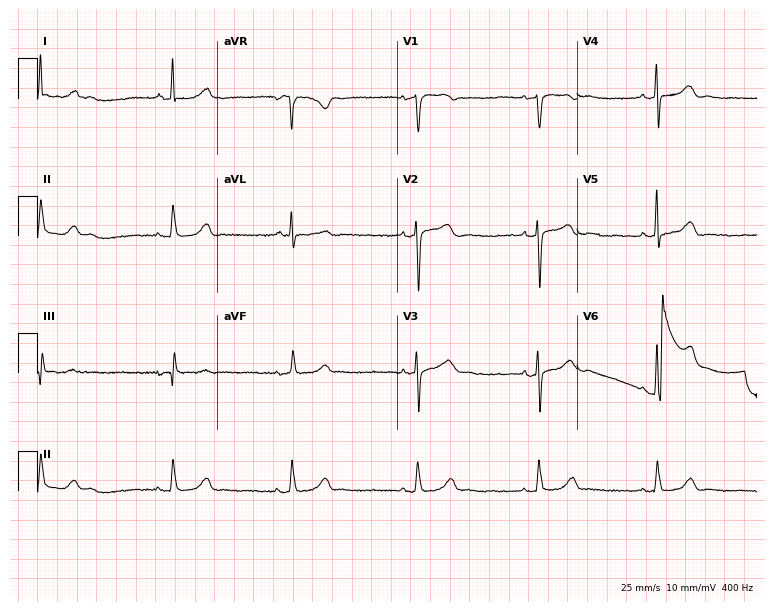
12-lead ECG (7.3-second recording at 400 Hz) from a 45-year-old woman. Findings include sinus bradycardia (a sinus rate of 50 beats per minute or less).